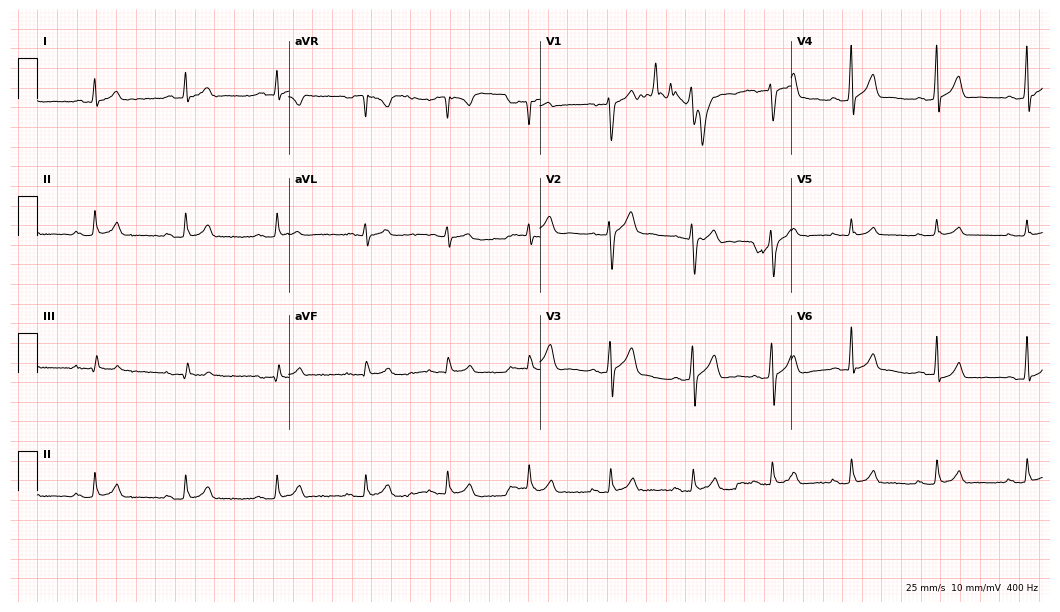
Electrocardiogram, a 23-year-old male patient. Overall reading on record: normal ECG.